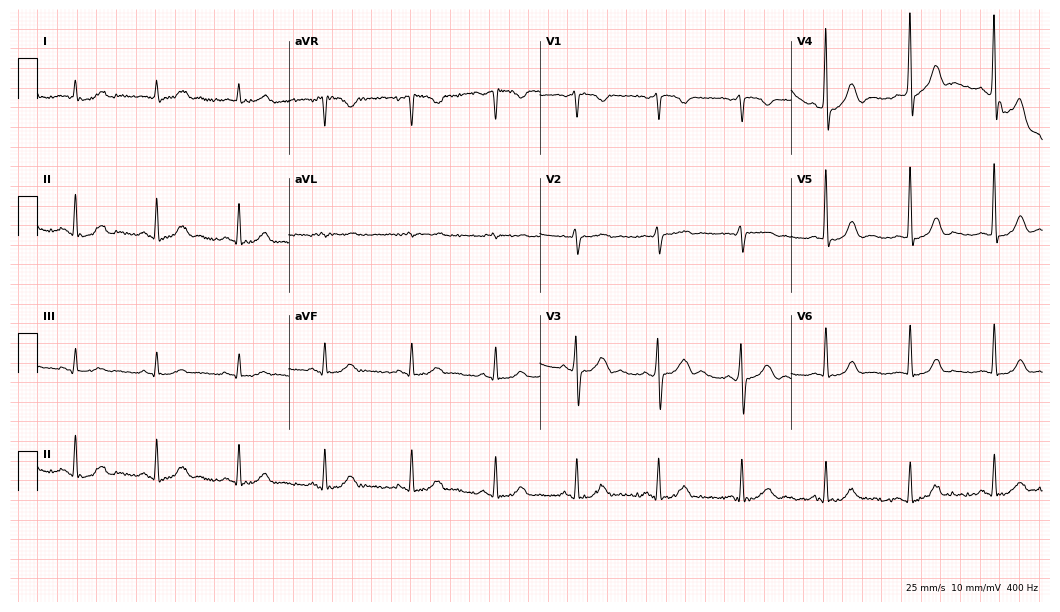
Resting 12-lead electrocardiogram (10.2-second recording at 400 Hz). Patient: a male, 79 years old. None of these six findings is recorded: first-degree AV block, right bundle branch block, left bundle branch block, sinus bradycardia, atrial fibrillation, sinus tachycardia. Findings outside these six are not listed.